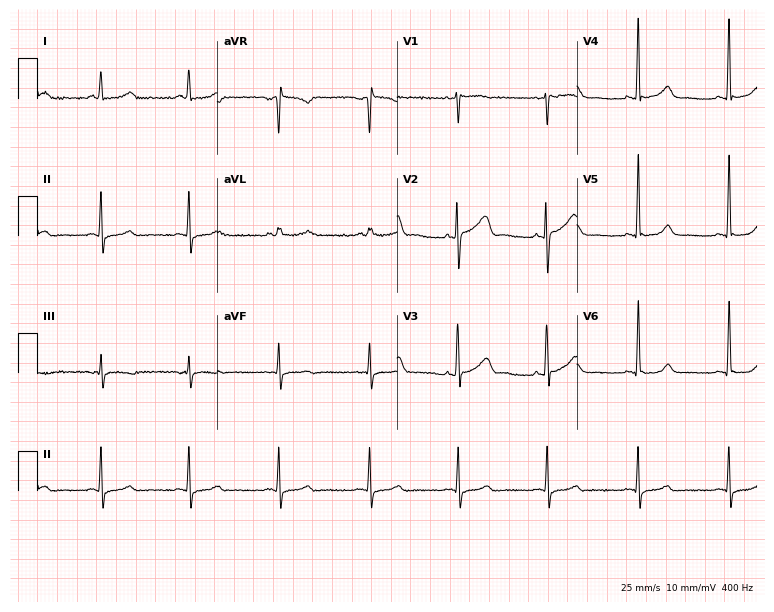
Electrocardiogram (7.3-second recording at 400 Hz), a female, 37 years old. Of the six screened findings (first-degree AV block, right bundle branch block, left bundle branch block, sinus bradycardia, atrial fibrillation, sinus tachycardia), none is recorded. Other findings, if any, are not listed.